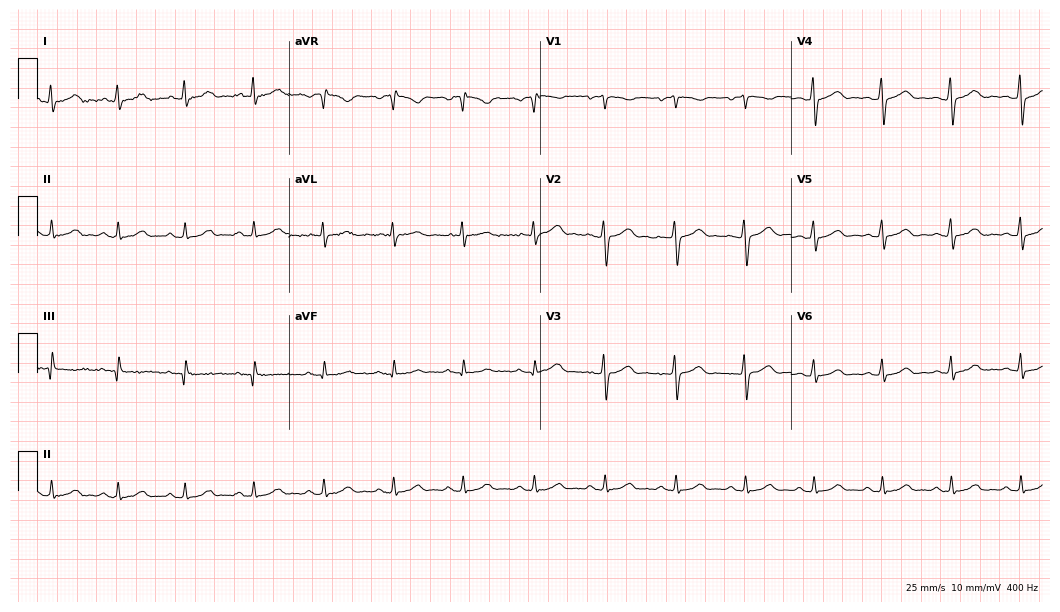
ECG (10.2-second recording at 400 Hz) — a 48-year-old male. Labelled as a normal ECG.